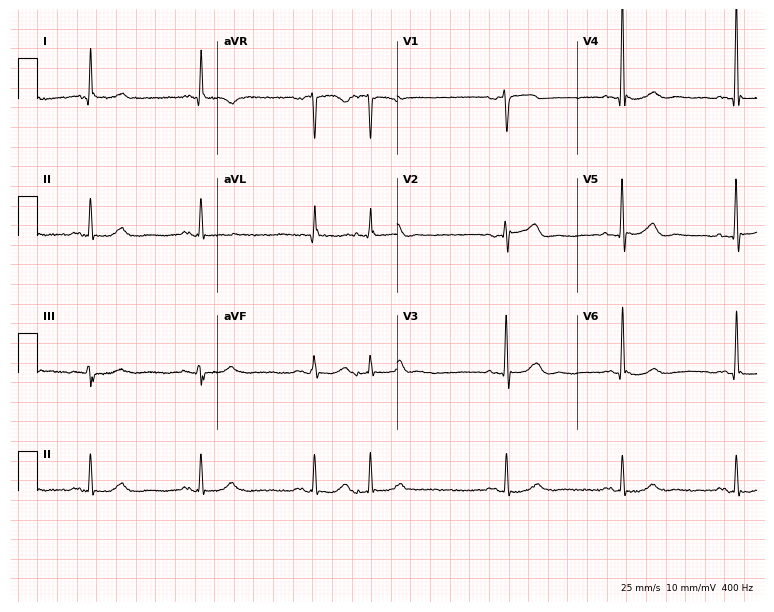
ECG — a female patient, 85 years old. Screened for six findings — first-degree AV block, right bundle branch block (RBBB), left bundle branch block (LBBB), sinus bradycardia, atrial fibrillation (AF), sinus tachycardia — none is recorded. Findings outside these six are not listed.